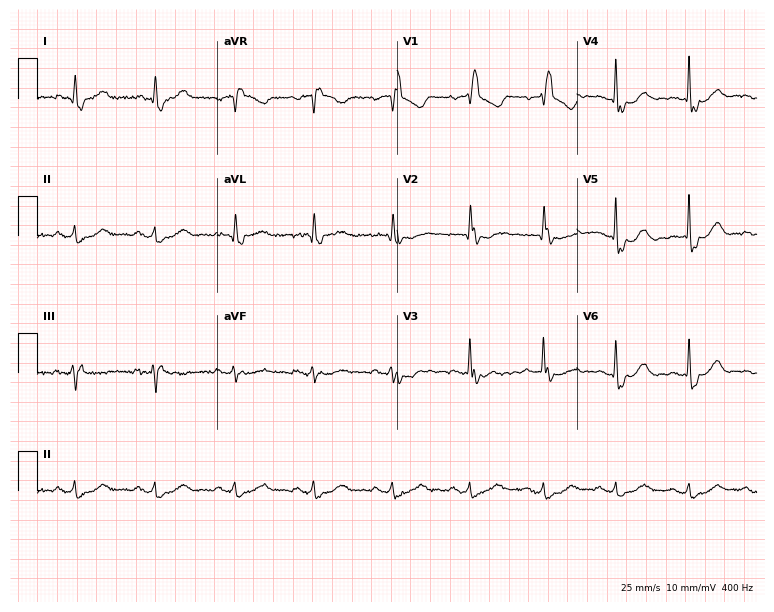
Standard 12-lead ECG recorded from an 85-year-old male patient. The tracing shows right bundle branch block (RBBB).